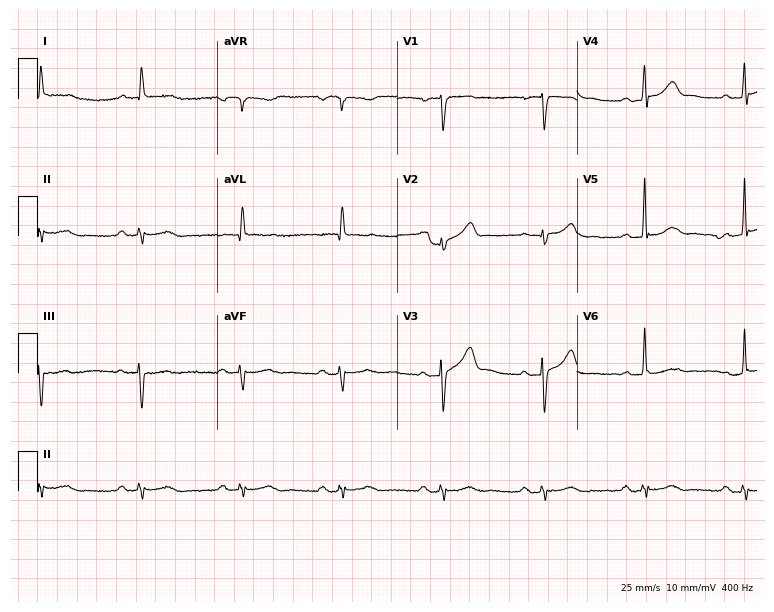
Electrocardiogram, a man, 66 years old. Of the six screened findings (first-degree AV block, right bundle branch block (RBBB), left bundle branch block (LBBB), sinus bradycardia, atrial fibrillation (AF), sinus tachycardia), none is recorded.